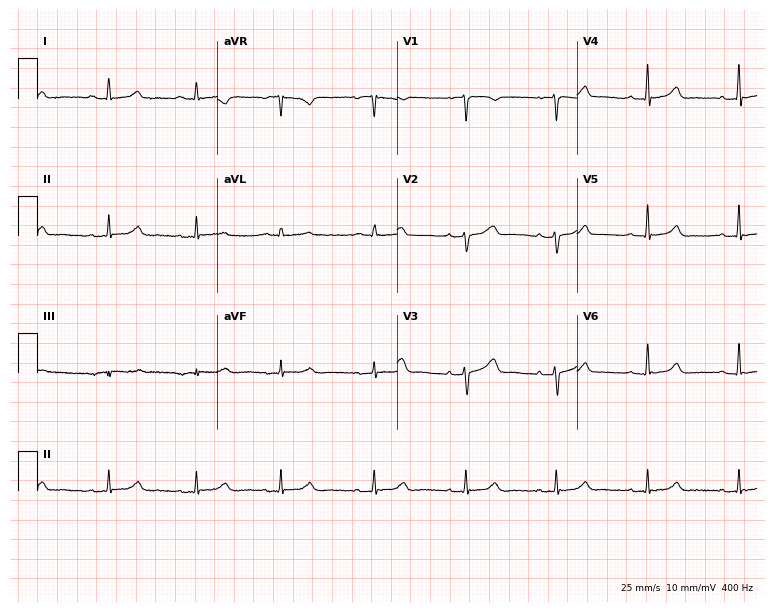
12-lead ECG from a female, 51 years old (7.3-second recording at 400 Hz). Recorded interpretation: within normal limits.